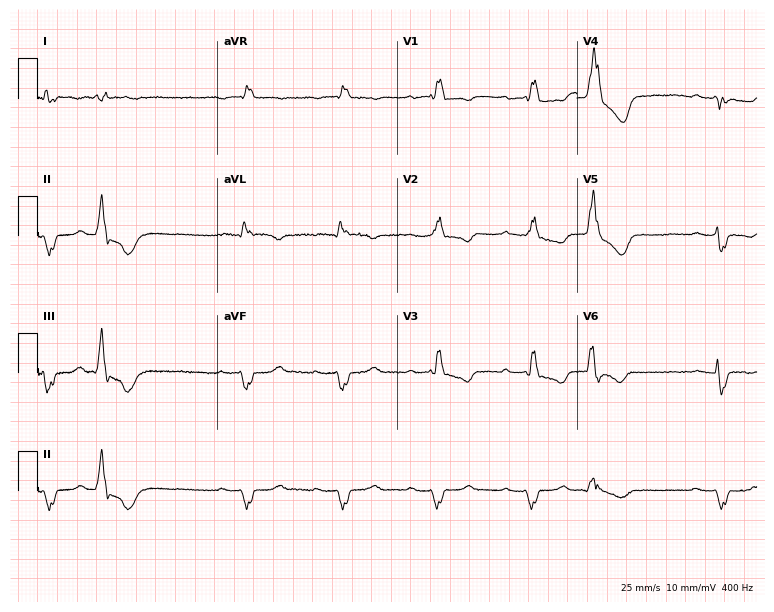
ECG (7.3-second recording at 400 Hz) — a man, 77 years old. Findings include first-degree AV block, right bundle branch block.